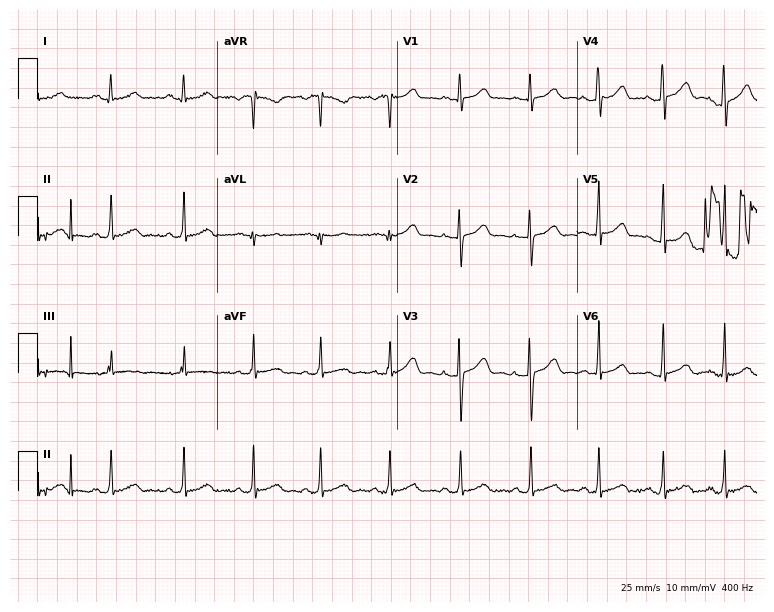
Electrocardiogram (7.3-second recording at 400 Hz), a 26-year-old female patient. Overall reading on record: normal ECG.